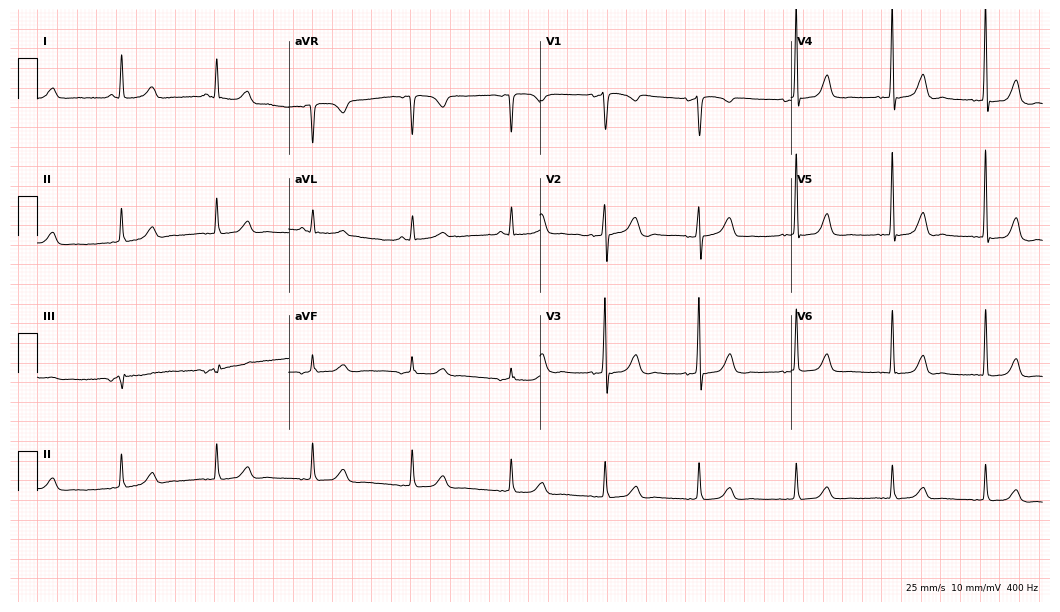
Resting 12-lead electrocardiogram (10.2-second recording at 400 Hz). Patient: a 74-year-old female. Read as a normal ECG.